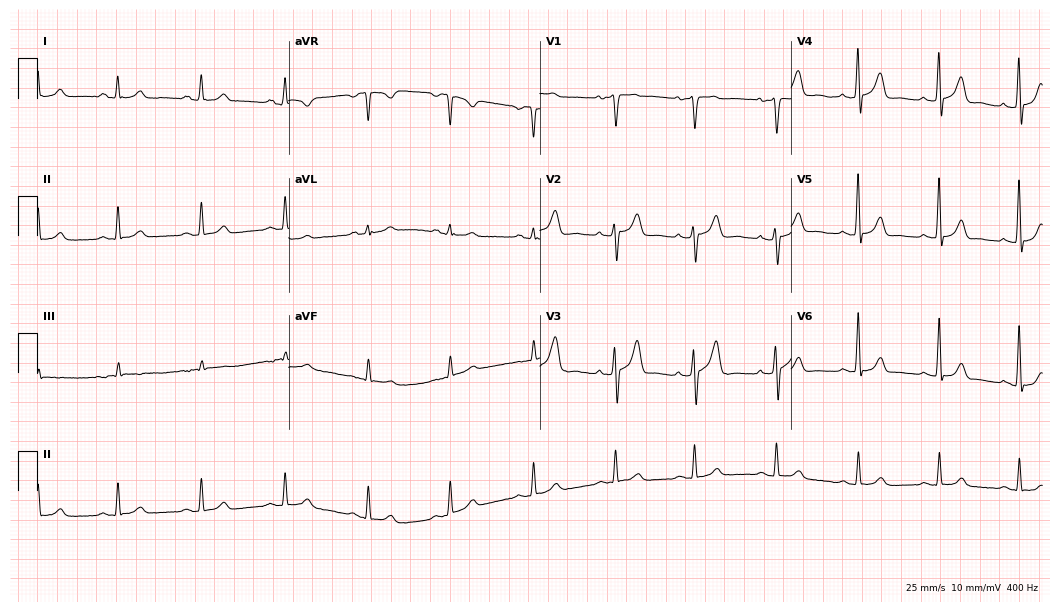
Resting 12-lead electrocardiogram (10.2-second recording at 400 Hz). Patient: a male, 33 years old. None of these six findings is recorded: first-degree AV block, right bundle branch block, left bundle branch block, sinus bradycardia, atrial fibrillation, sinus tachycardia. Only these six findings were labelled.